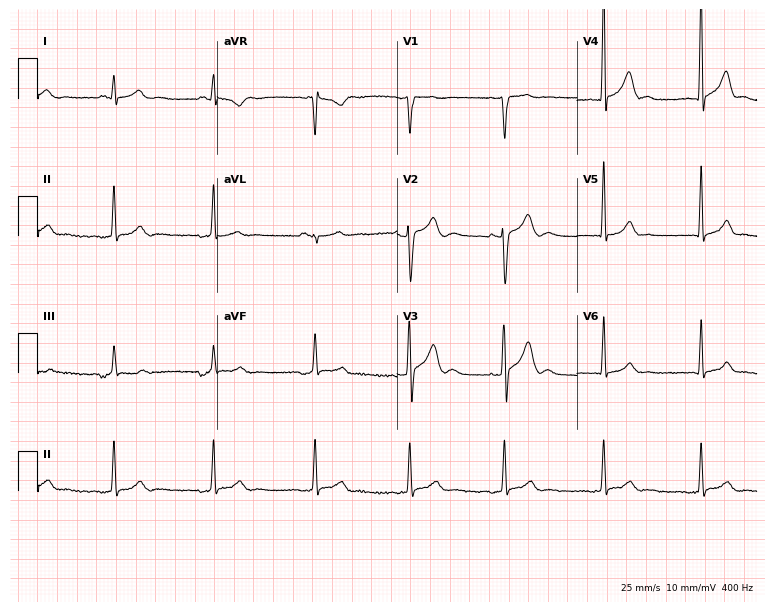
12-lead ECG (7.3-second recording at 400 Hz) from a 23-year-old male. Labelled as a normal ECG.